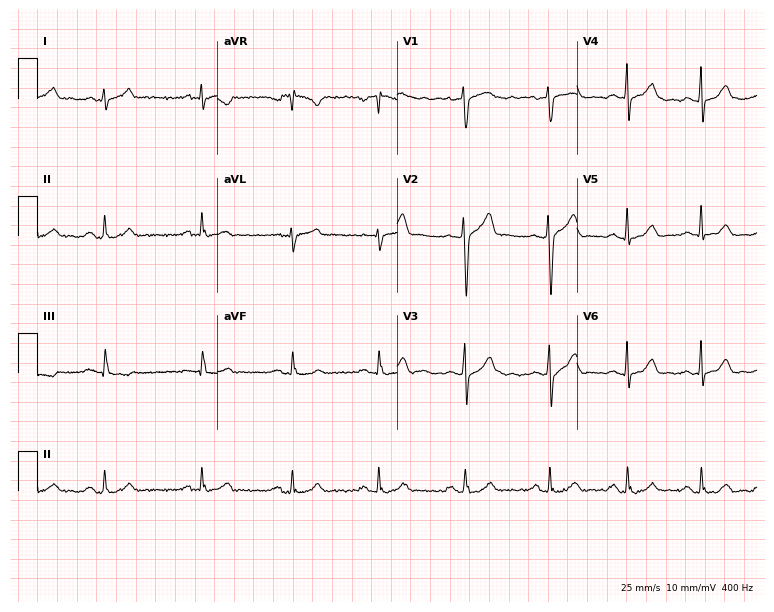
12-lead ECG (7.3-second recording at 400 Hz) from a 40-year-old male patient. Screened for six findings — first-degree AV block, right bundle branch block (RBBB), left bundle branch block (LBBB), sinus bradycardia, atrial fibrillation (AF), sinus tachycardia — none is recorded. Other findings, if any, are not listed.